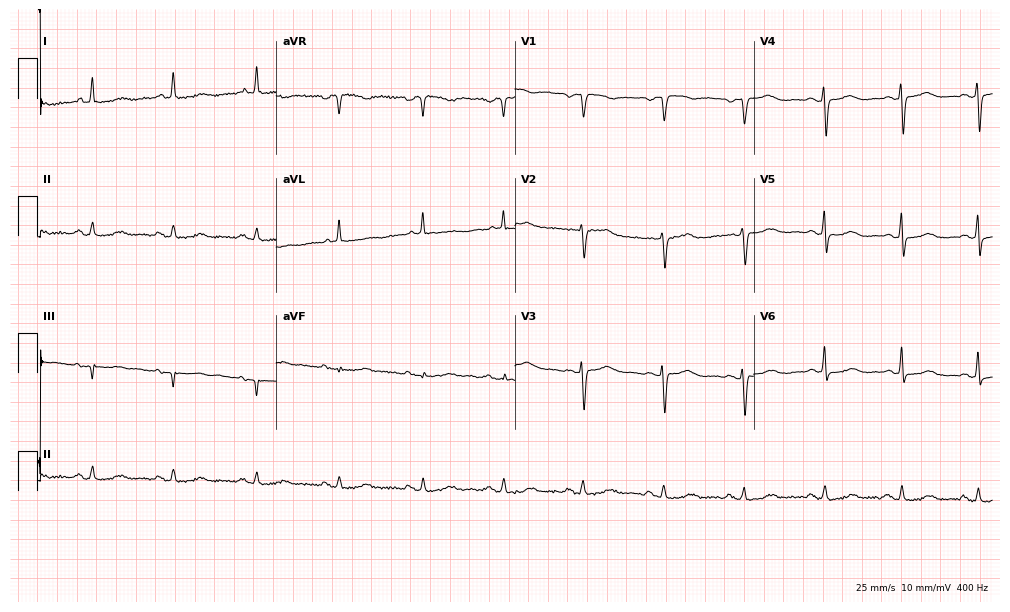
ECG (9.7-second recording at 400 Hz) — an 85-year-old female patient. Labelled as a normal ECG.